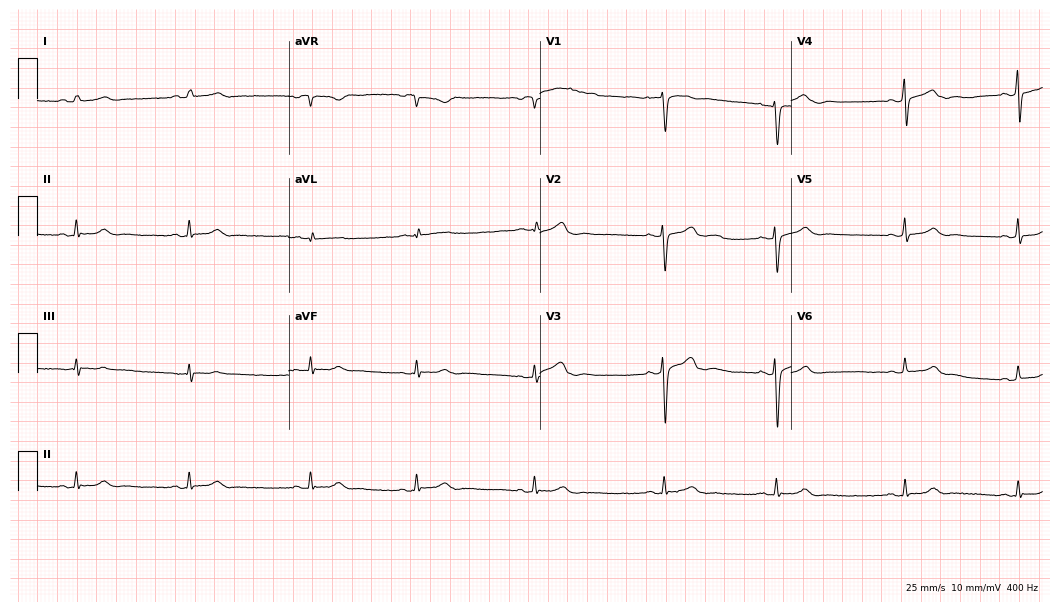
Resting 12-lead electrocardiogram. Patient: a woman, 45 years old. None of these six findings is recorded: first-degree AV block, right bundle branch block, left bundle branch block, sinus bradycardia, atrial fibrillation, sinus tachycardia. Other findings, if any, are not listed.